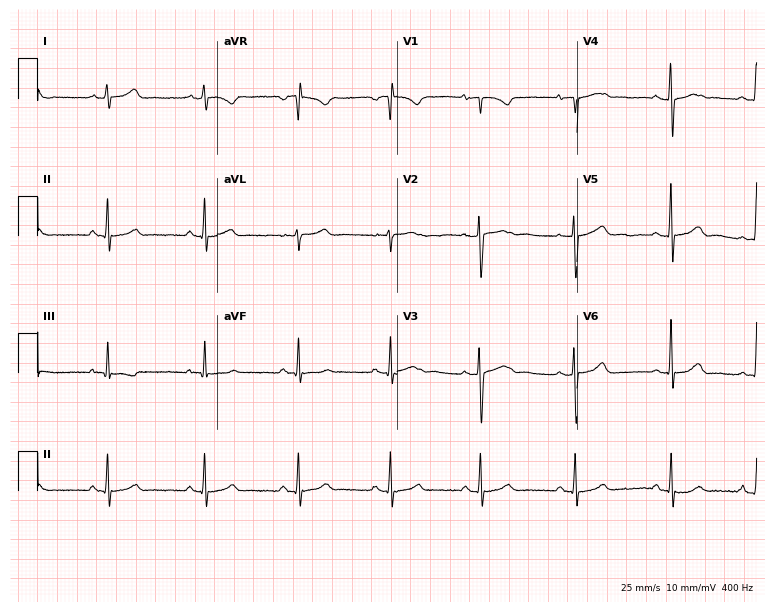
12-lead ECG (7.3-second recording at 400 Hz) from a female patient, 35 years old. Screened for six findings — first-degree AV block, right bundle branch block, left bundle branch block, sinus bradycardia, atrial fibrillation, sinus tachycardia — none is recorded.